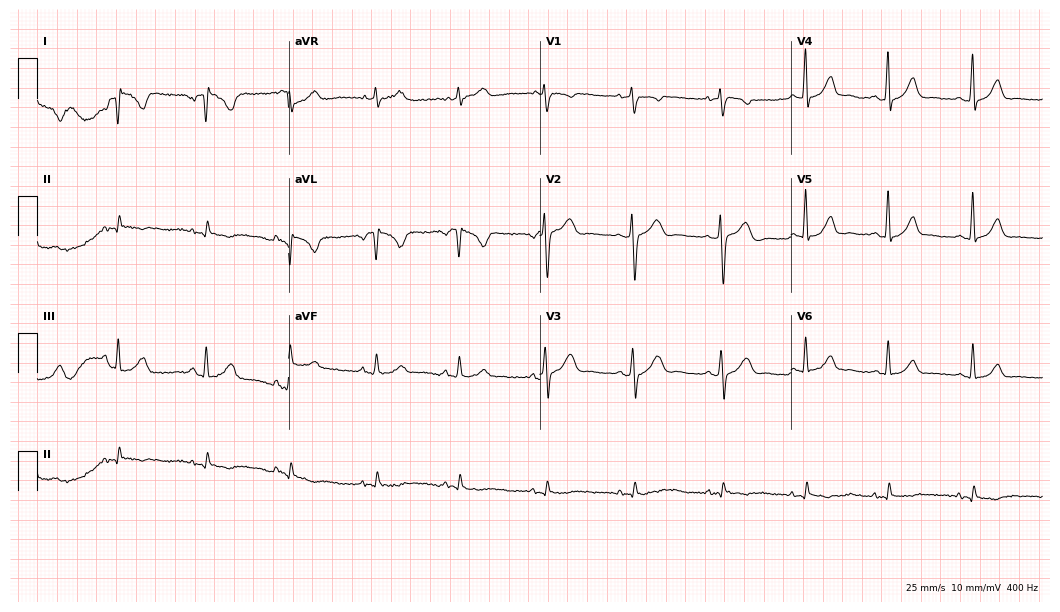
12-lead ECG from a 33-year-old female patient. Screened for six findings — first-degree AV block, right bundle branch block (RBBB), left bundle branch block (LBBB), sinus bradycardia, atrial fibrillation (AF), sinus tachycardia — none is recorded. Findings outside these six are not listed.